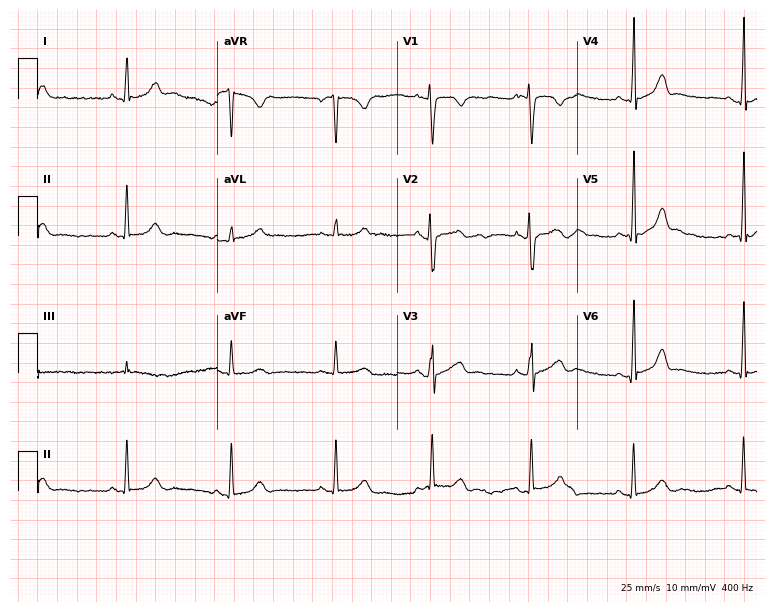
Standard 12-lead ECG recorded from a female, 29 years old (7.3-second recording at 400 Hz). Read as a normal ECG.